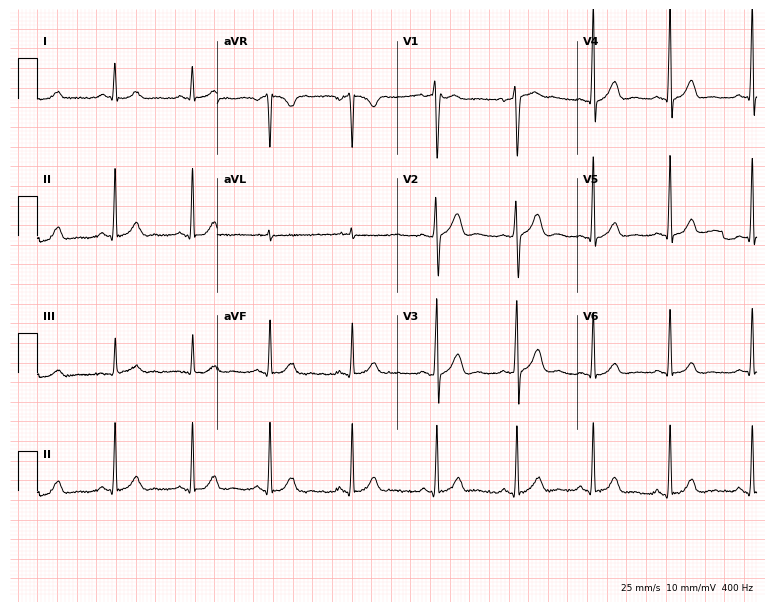
12-lead ECG from a 39-year-old male. Labelled as a normal ECG.